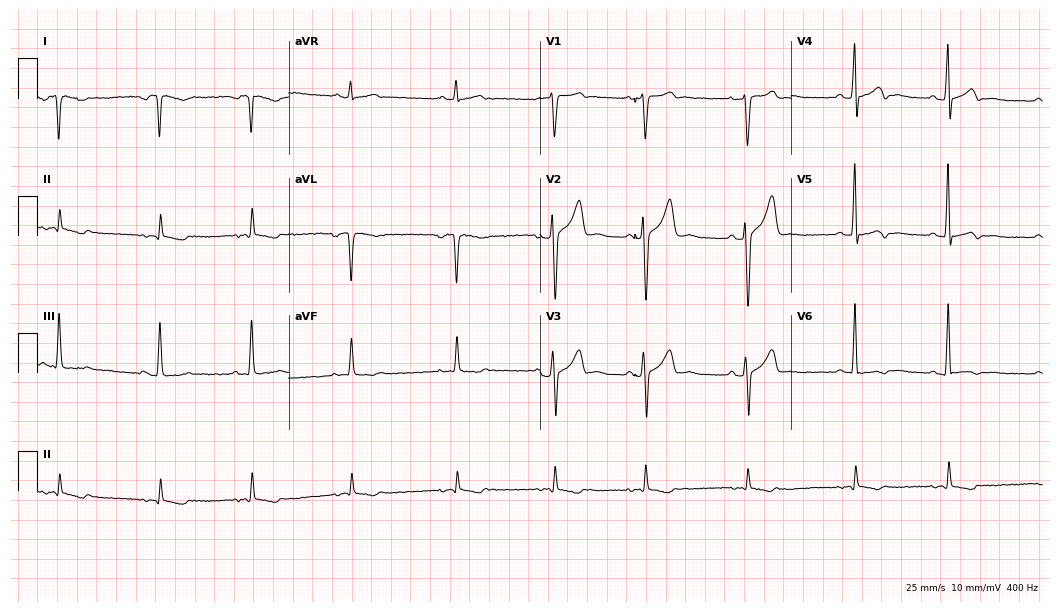
Resting 12-lead electrocardiogram (10.2-second recording at 400 Hz). Patient: a 29-year-old man. None of these six findings is recorded: first-degree AV block, right bundle branch block, left bundle branch block, sinus bradycardia, atrial fibrillation, sinus tachycardia. Only these six findings were labelled.